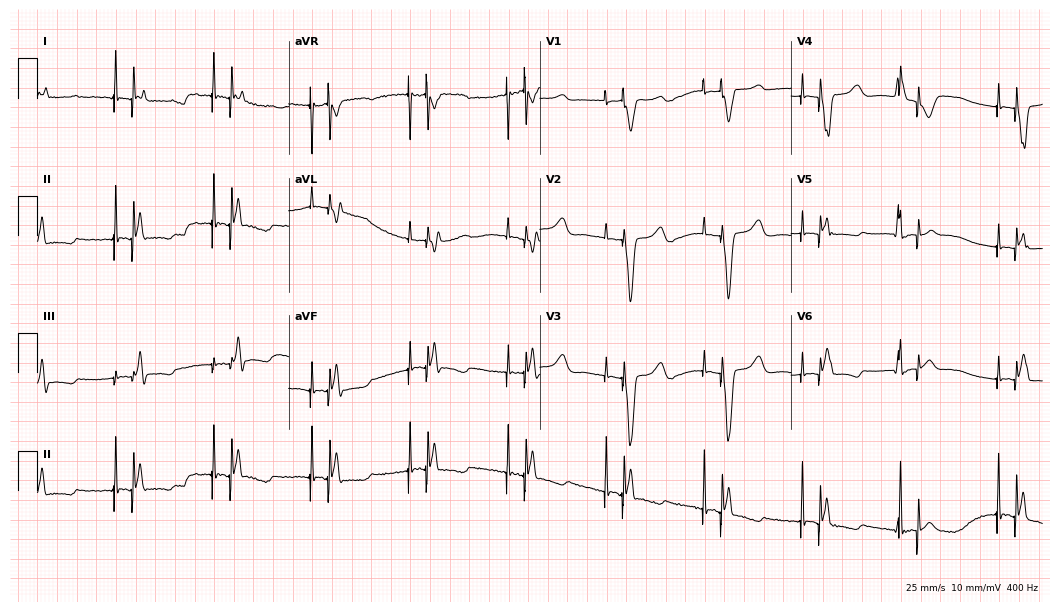
12-lead ECG from an 80-year-old woman (10.2-second recording at 400 Hz). No first-degree AV block, right bundle branch block, left bundle branch block, sinus bradycardia, atrial fibrillation or sinus tachycardia recorded for this tracing.